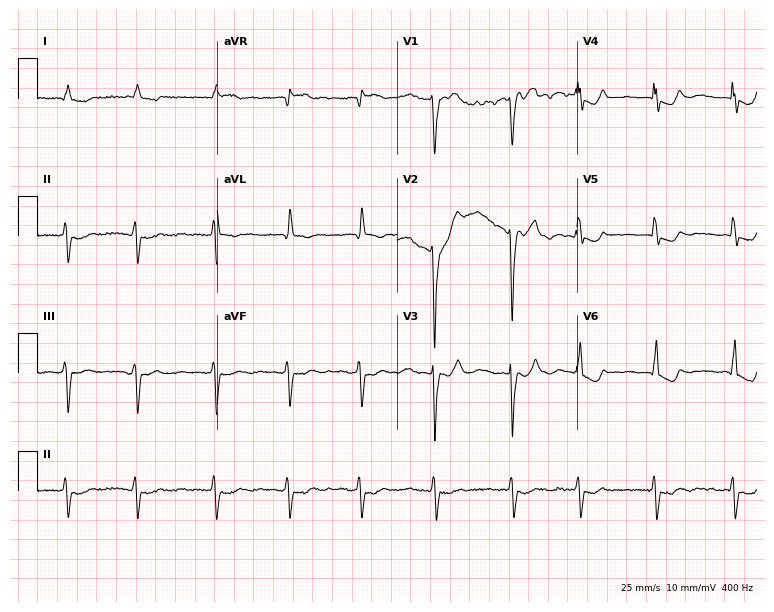
Resting 12-lead electrocardiogram (7.3-second recording at 400 Hz). Patient: a female, 83 years old. The tracing shows atrial fibrillation.